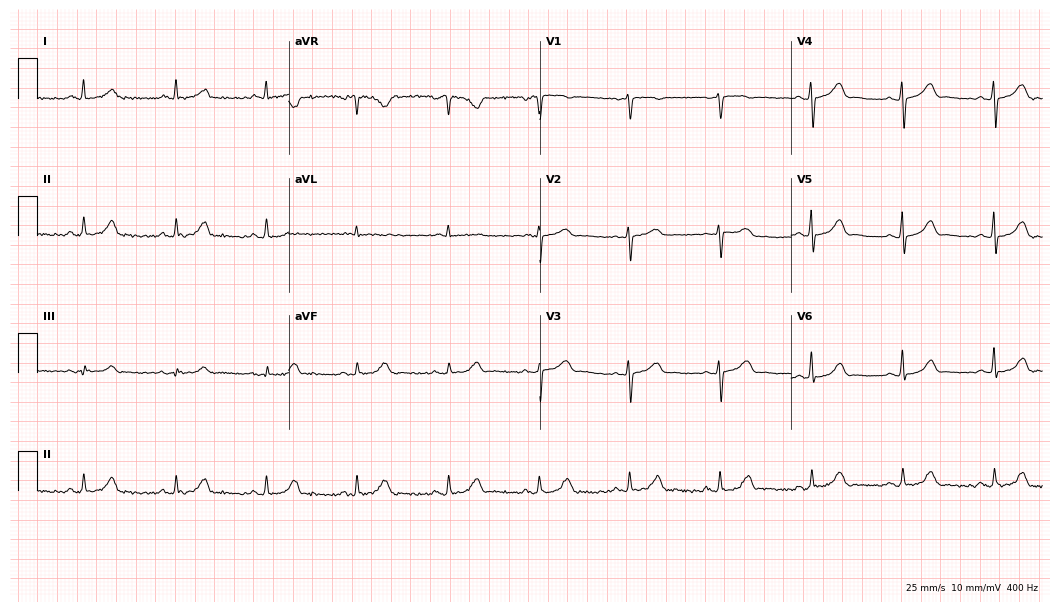
ECG — a woman, 60 years old. Labelled as a normal ECG.